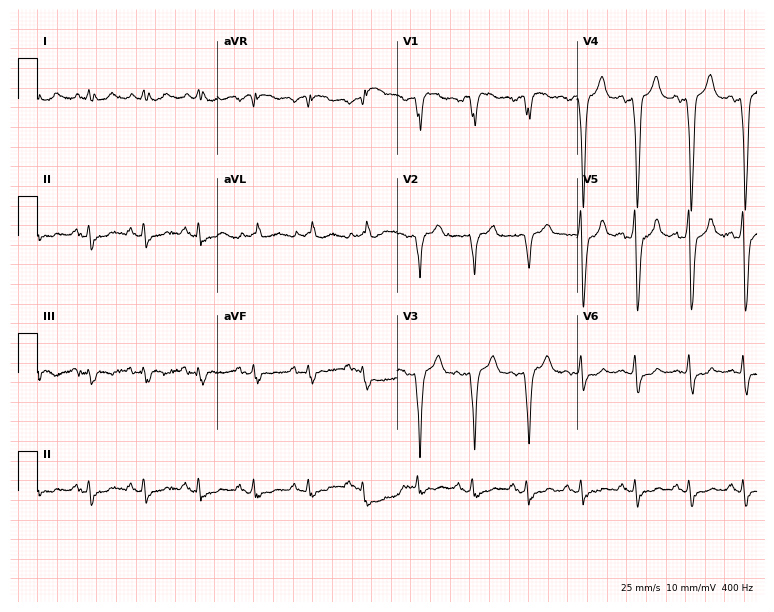
12-lead ECG from a 79-year-old male (7.3-second recording at 400 Hz). Shows left bundle branch block.